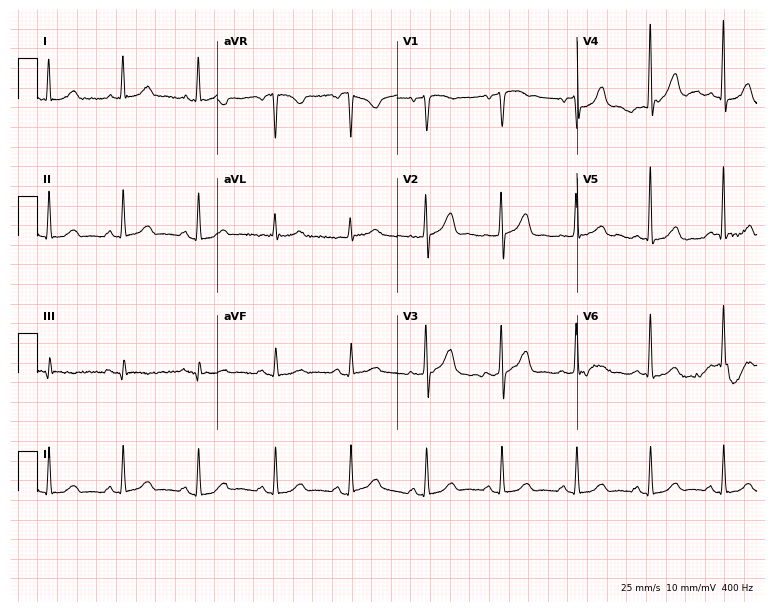
Standard 12-lead ECG recorded from a 75-year-old male. Read as a normal ECG.